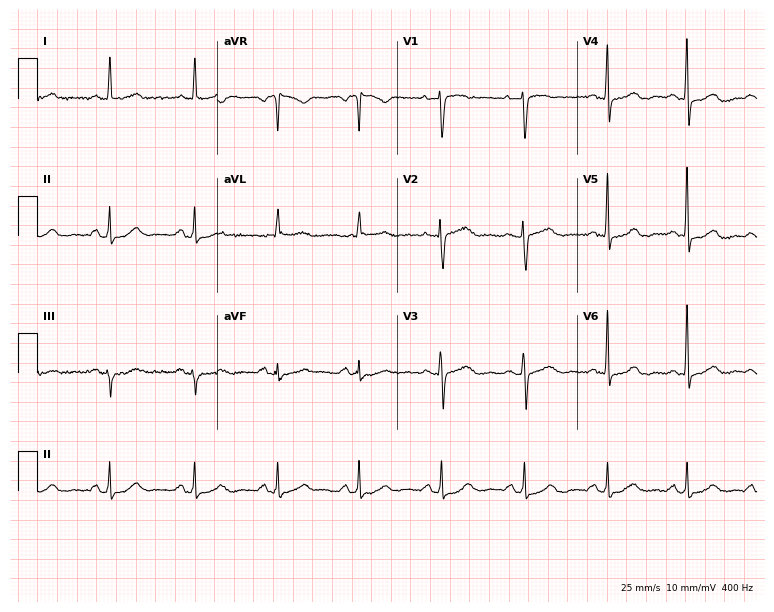
Standard 12-lead ECG recorded from a 46-year-old woman (7.3-second recording at 400 Hz). None of these six findings is recorded: first-degree AV block, right bundle branch block, left bundle branch block, sinus bradycardia, atrial fibrillation, sinus tachycardia.